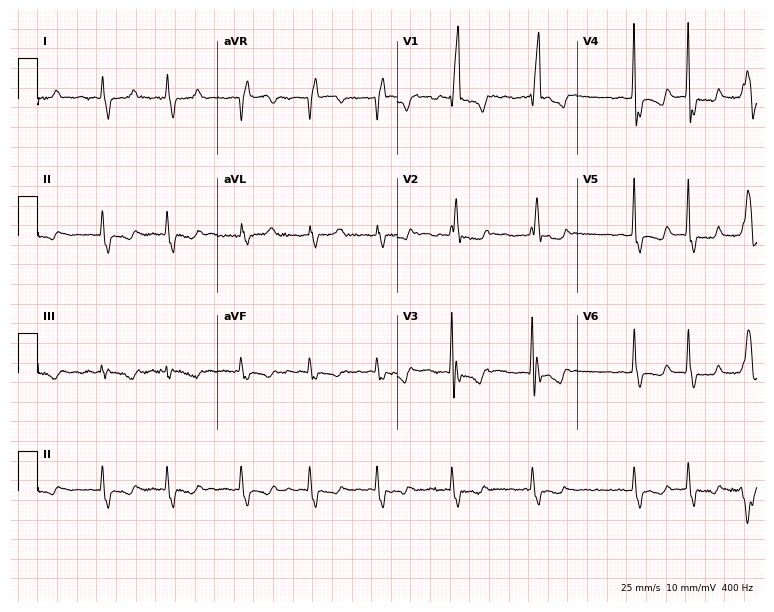
Resting 12-lead electrocardiogram. Patient: a female, 76 years old. The tracing shows right bundle branch block, atrial fibrillation.